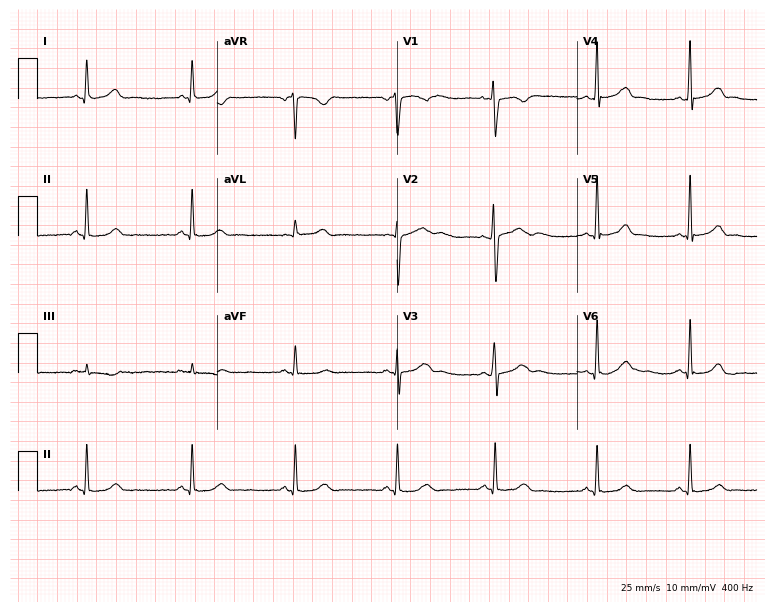
Standard 12-lead ECG recorded from a 28-year-old male patient. Read as a normal ECG.